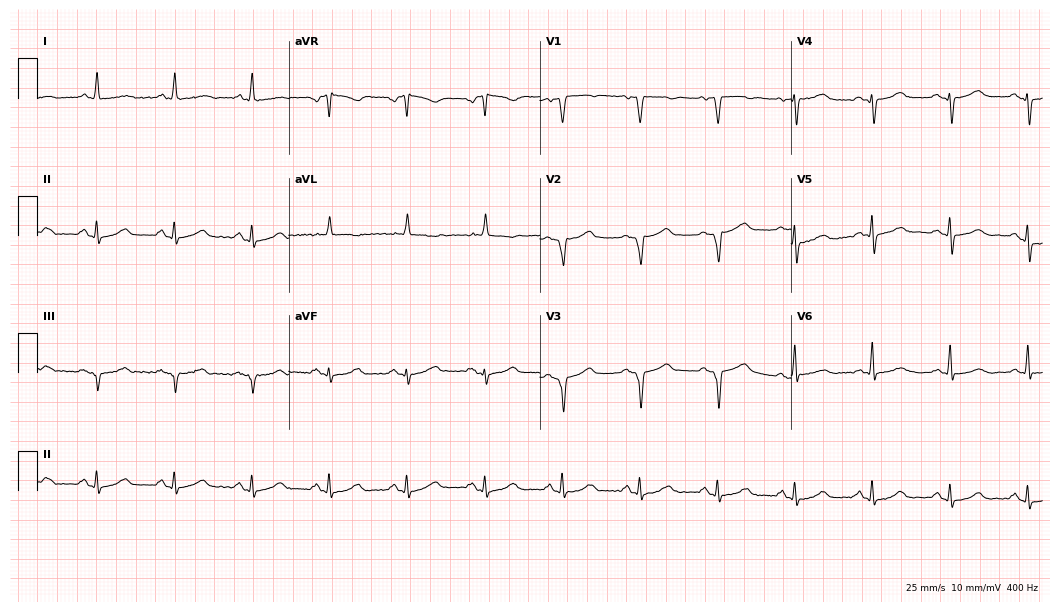
12-lead ECG (10.2-second recording at 400 Hz) from an 85-year-old male patient. Screened for six findings — first-degree AV block, right bundle branch block, left bundle branch block, sinus bradycardia, atrial fibrillation, sinus tachycardia — none is recorded. Findings outside these six are not listed.